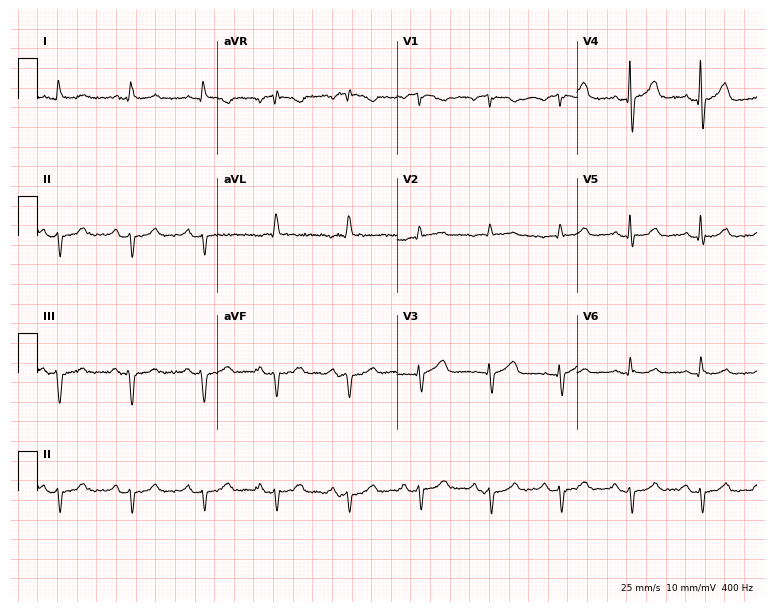
Resting 12-lead electrocardiogram. Patient: a male, 77 years old. None of these six findings is recorded: first-degree AV block, right bundle branch block, left bundle branch block, sinus bradycardia, atrial fibrillation, sinus tachycardia.